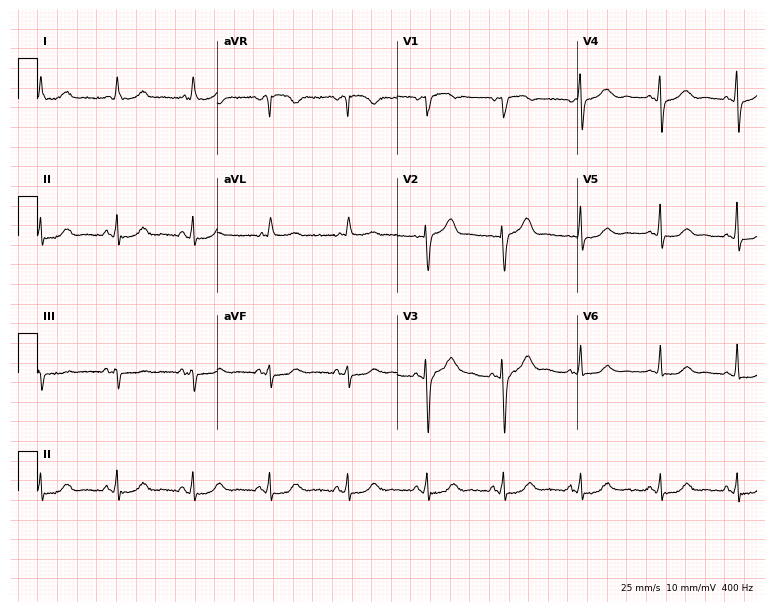
12-lead ECG (7.3-second recording at 400 Hz) from a 73-year-old female patient. Screened for six findings — first-degree AV block, right bundle branch block (RBBB), left bundle branch block (LBBB), sinus bradycardia, atrial fibrillation (AF), sinus tachycardia — none is recorded.